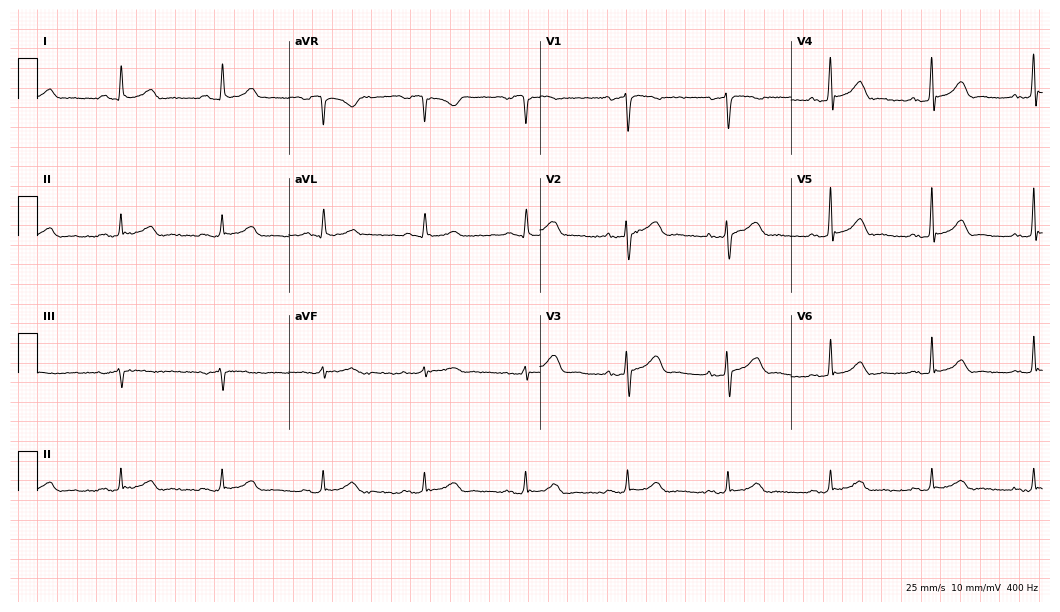
Standard 12-lead ECG recorded from a male, 55 years old (10.2-second recording at 400 Hz). Read as a normal ECG.